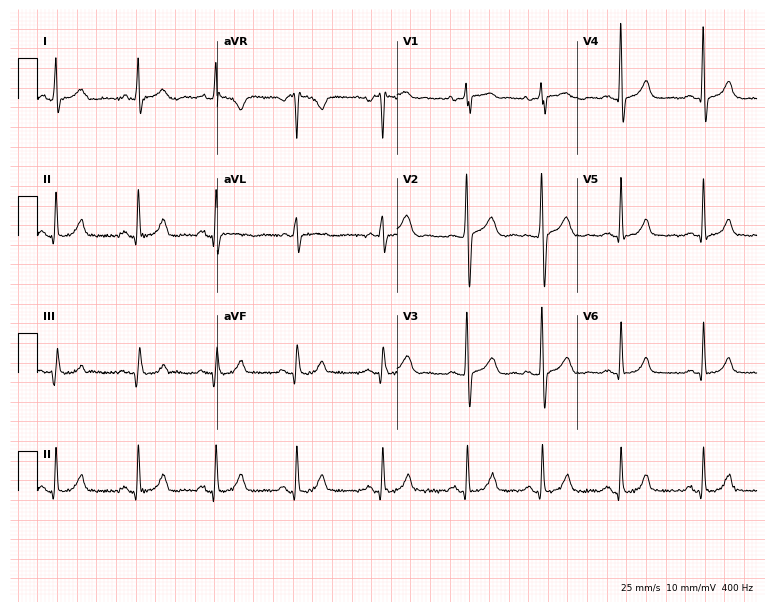
ECG — a female, 23 years old. Screened for six findings — first-degree AV block, right bundle branch block, left bundle branch block, sinus bradycardia, atrial fibrillation, sinus tachycardia — none is recorded.